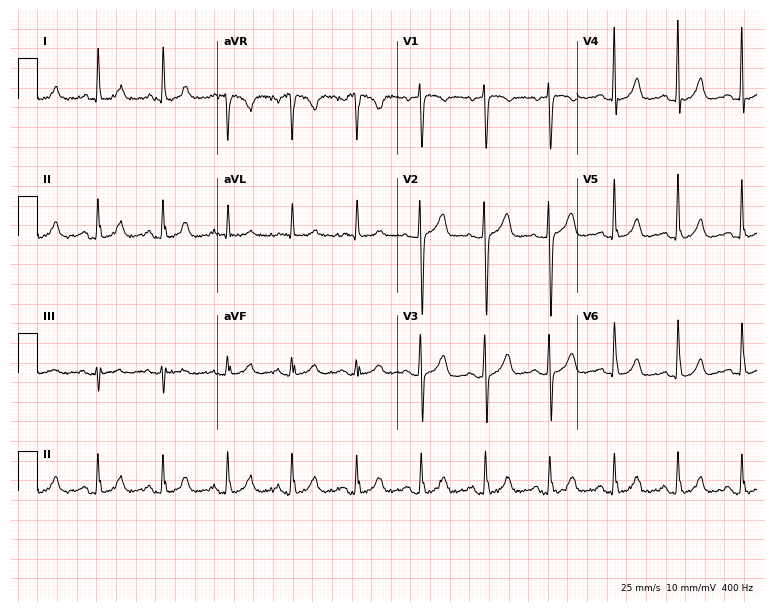
Standard 12-lead ECG recorded from a woman, 77 years old. None of these six findings is recorded: first-degree AV block, right bundle branch block, left bundle branch block, sinus bradycardia, atrial fibrillation, sinus tachycardia. Other findings, if any, are not listed.